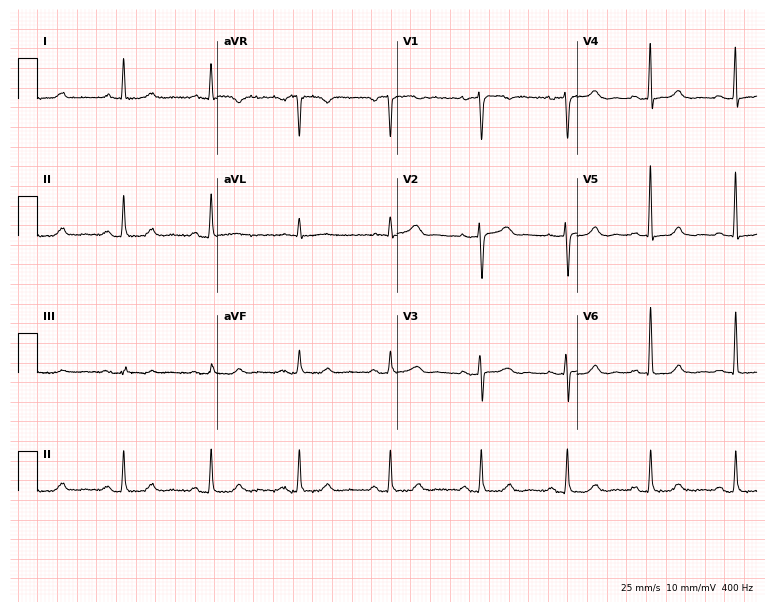
12-lead ECG from a woman, 55 years old. No first-degree AV block, right bundle branch block, left bundle branch block, sinus bradycardia, atrial fibrillation or sinus tachycardia recorded for this tracing.